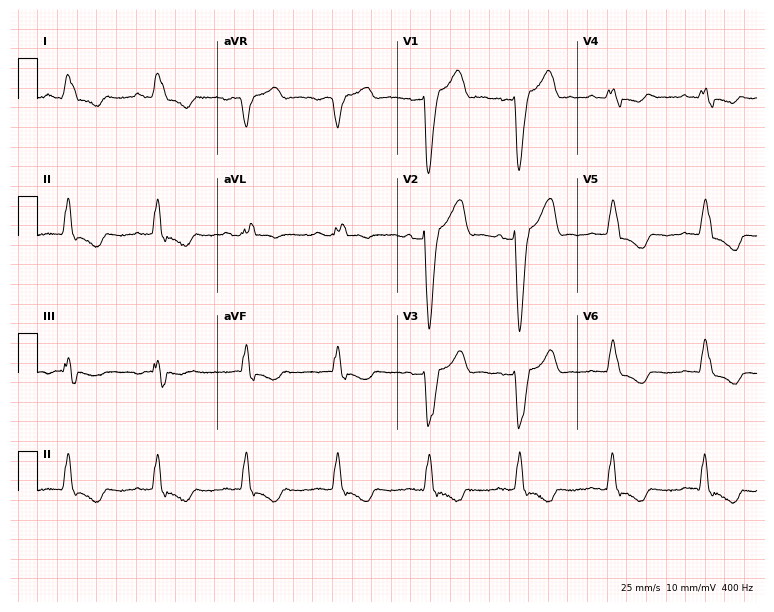
ECG (7.3-second recording at 400 Hz) — a male patient, 69 years old. Screened for six findings — first-degree AV block, right bundle branch block (RBBB), left bundle branch block (LBBB), sinus bradycardia, atrial fibrillation (AF), sinus tachycardia — none is recorded. Other findings, if any, are not listed.